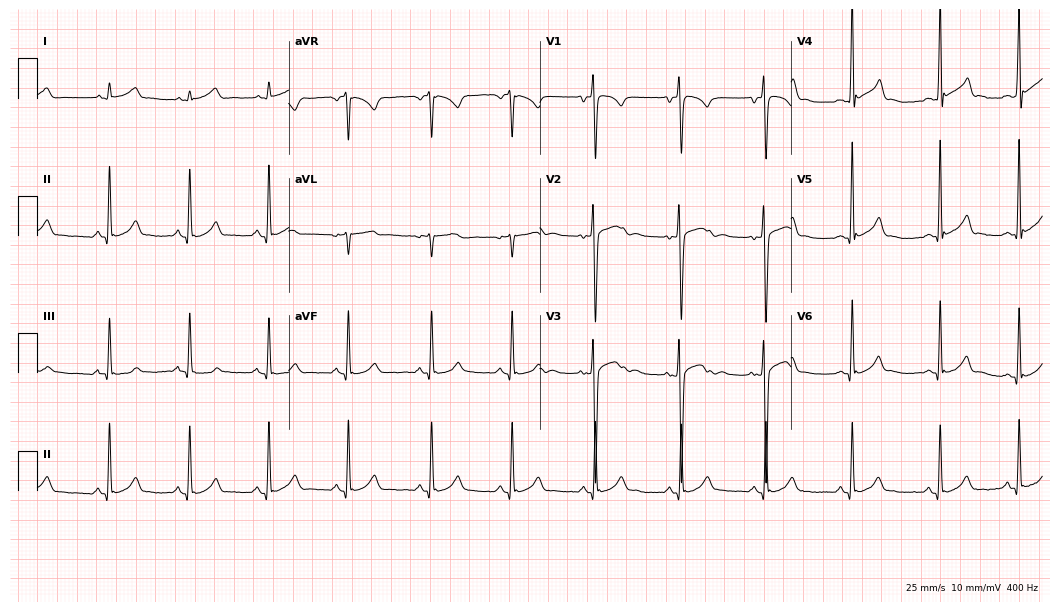
ECG (10.2-second recording at 400 Hz) — a 17-year-old male. Labelled as a normal ECG.